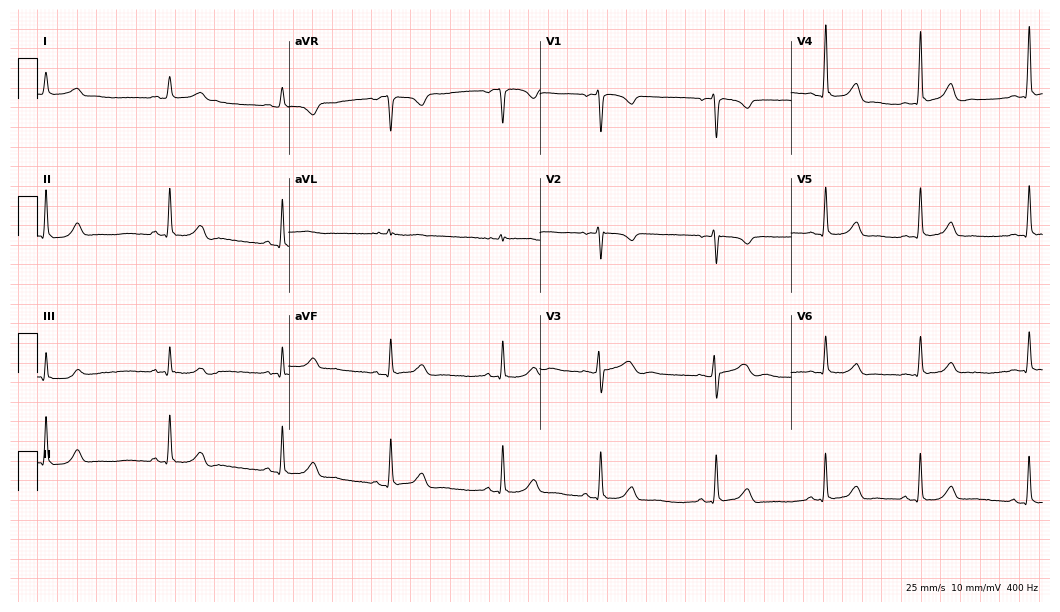
Resting 12-lead electrocardiogram. Patient: a 35-year-old woman. Read as a normal ECG.